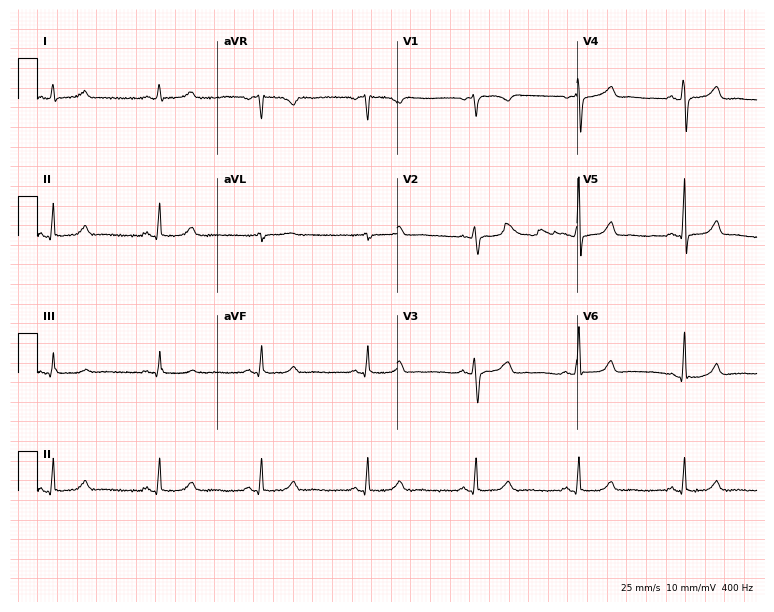
12-lead ECG from a woman, 51 years old (7.3-second recording at 400 Hz). Recorded interpretation: within normal limits.